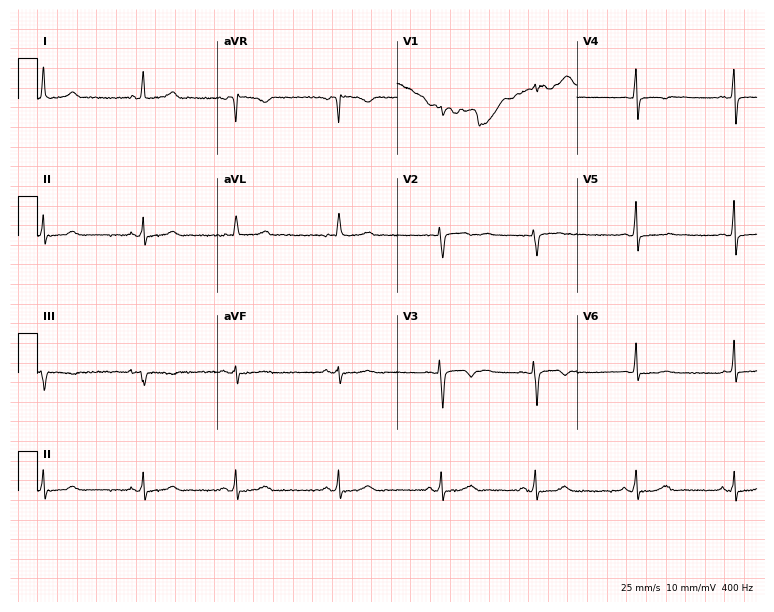
Electrocardiogram, a female patient, 32 years old. Of the six screened findings (first-degree AV block, right bundle branch block, left bundle branch block, sinus bradycardia, atrial fibrillation, sinus tachycardia), none is recorded.